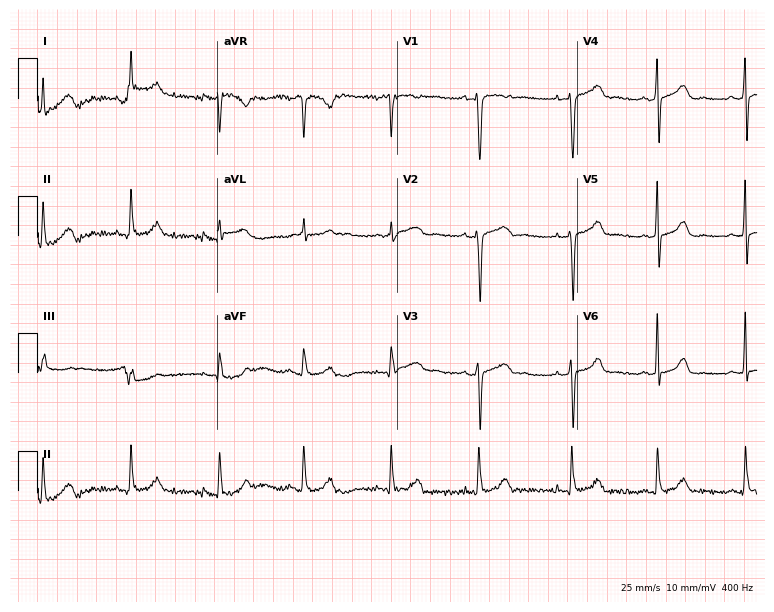
12-lead ECG (7.3-second recording at 400 Hz) from a 27-year-old woman. Labelled as a normal ECG.